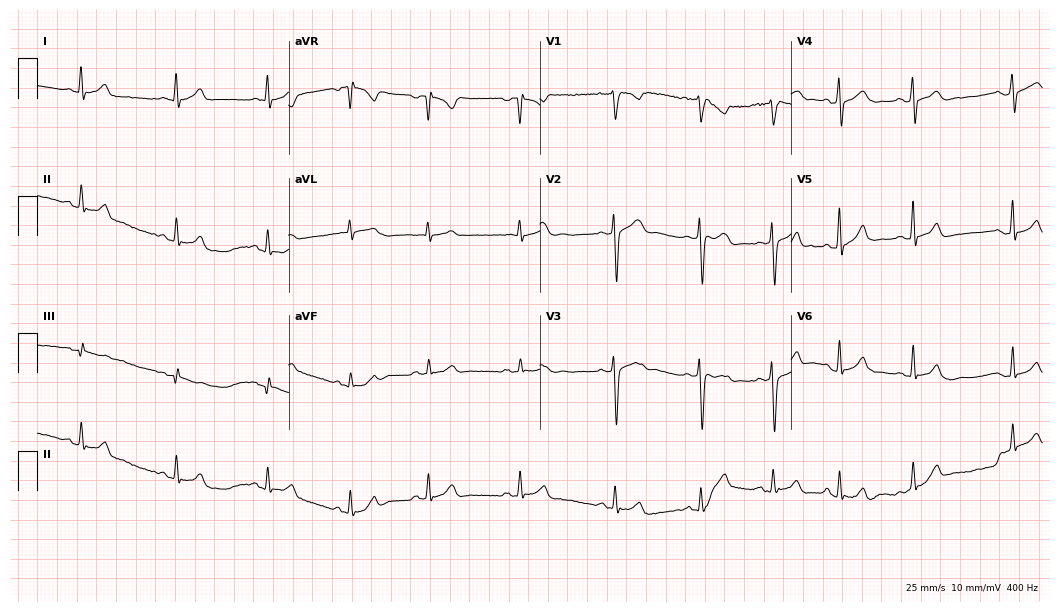
Standard 12-lead ECG recorded from a female, 20 years old (10.2-second recording at 400 Hz). Read as a normal ECG.